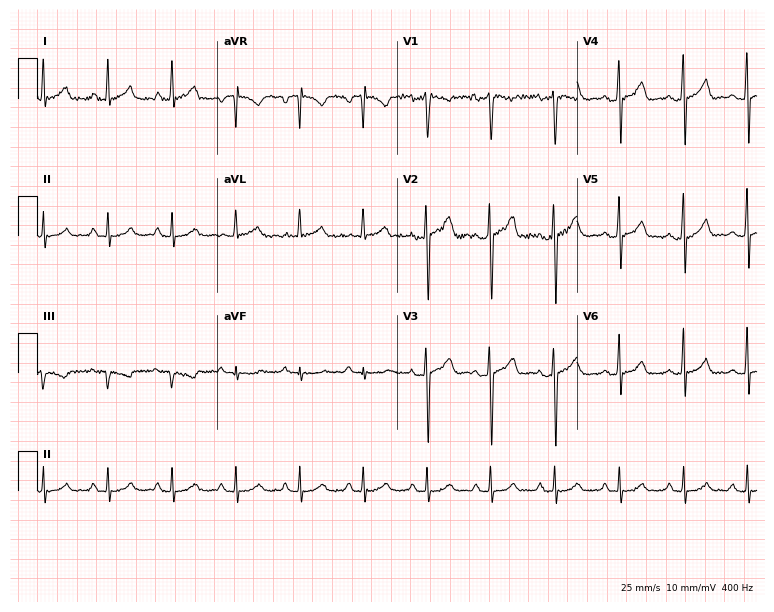
Standard 12-lead ECG recorded from a 61-year-old male (7.3-second recording at 400 Hz). Read as a normal ECG.